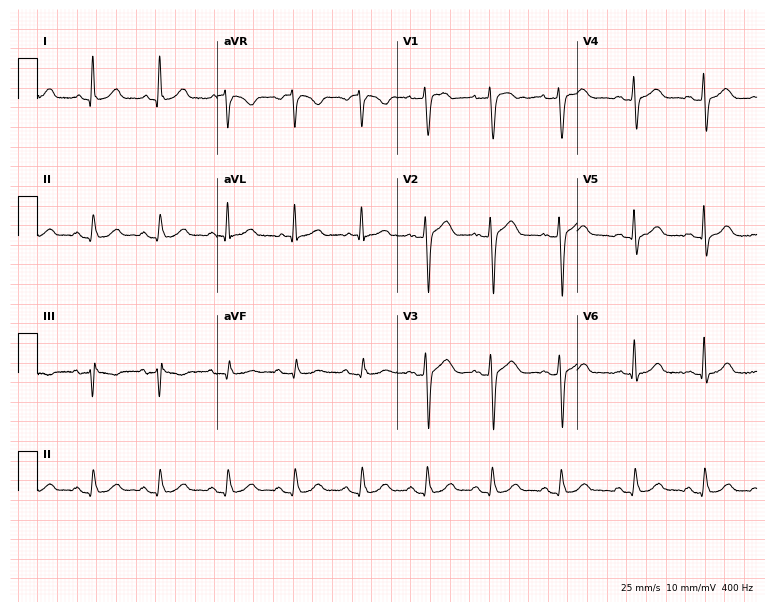
Resting 12-lead electrocardiogram (7.3-second recording at 400 Hz). Patient: a 51-year-old woman. Read as a normal ECG.